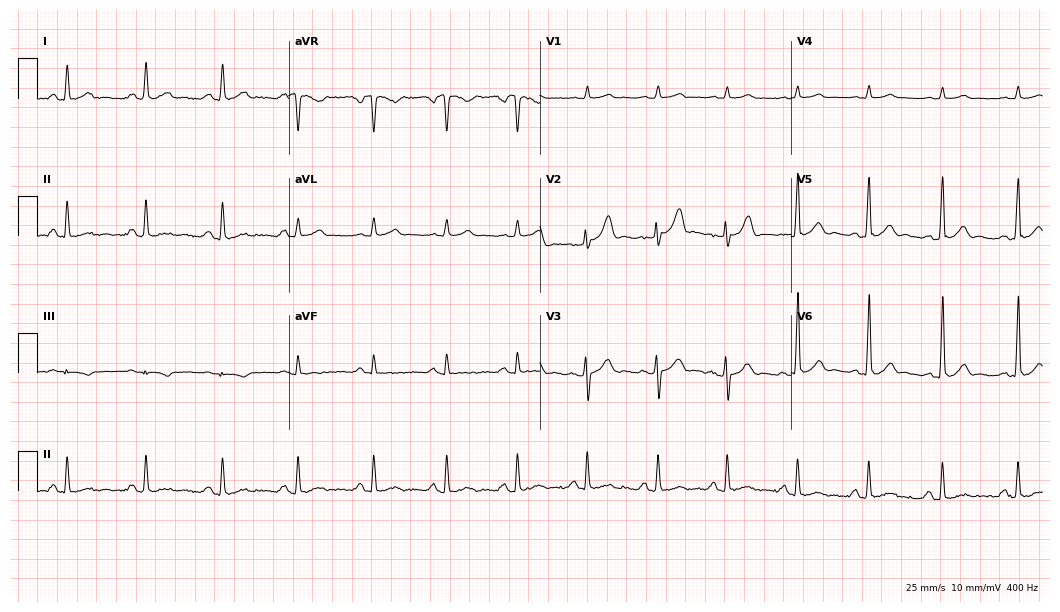
ECG (10.2-second recording at 400 Hz) — a 37-year-old male patient. Labelled as a normal ECG.